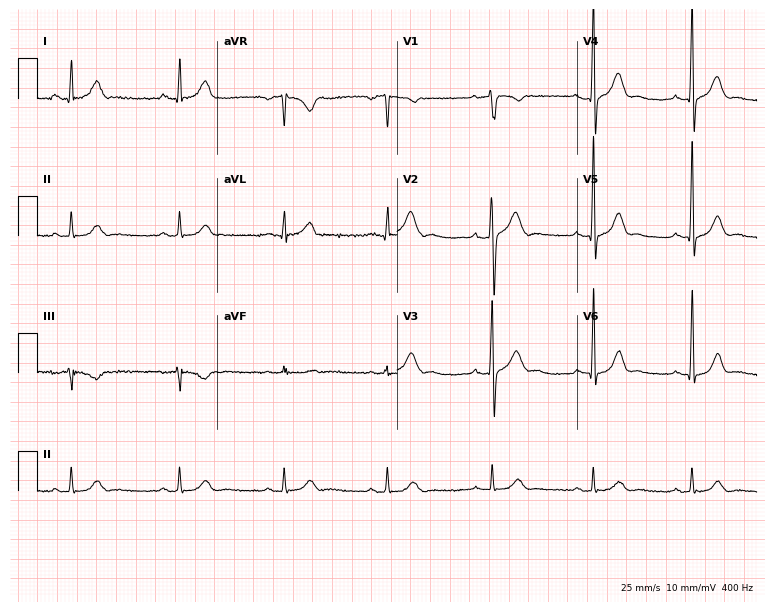
ECG (7.3-second recording at 400 Hz) — a man, 33 years old. Labelled as a normal ECG.